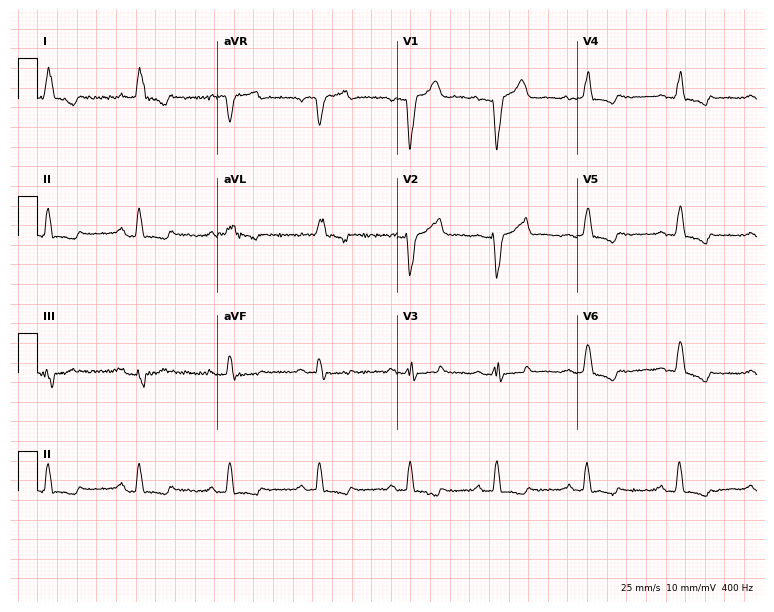
ECG — a woman, 73 years old. Findings include left bundle branch block.